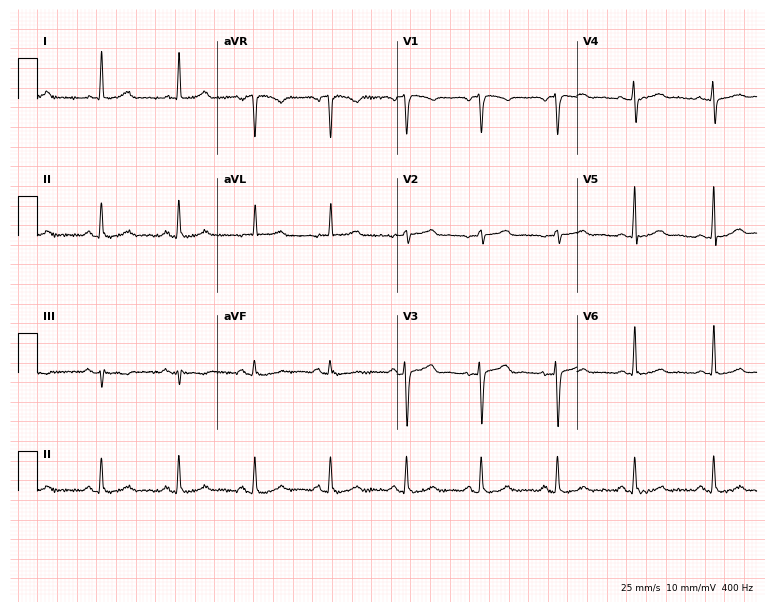
Resting 12-lead electrocardiogram (7.3-second recording at 400 Hz). Patient: a woman, 39 years old. Read as a normal ECG.